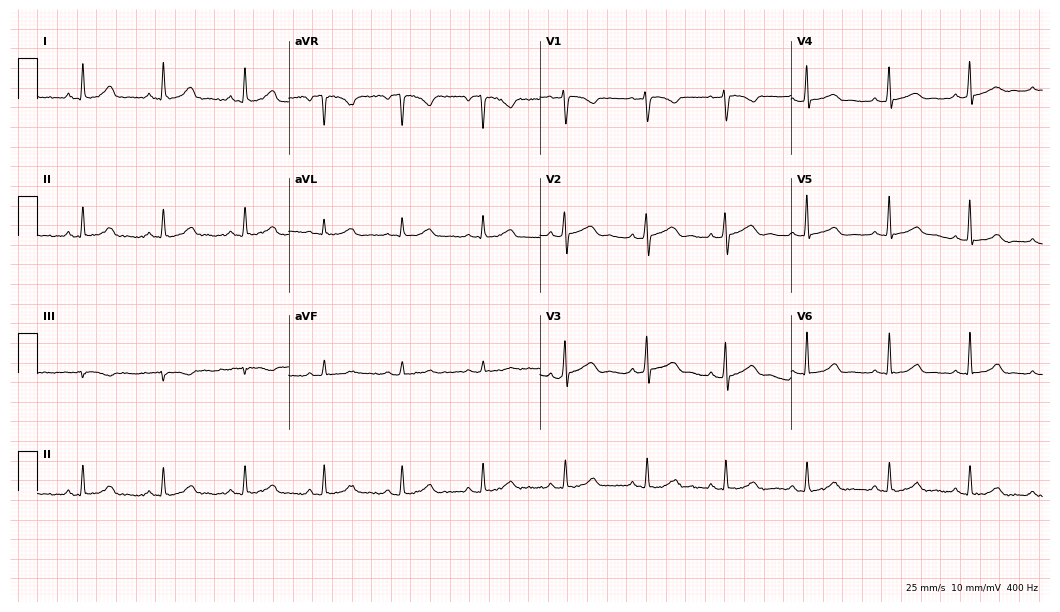
Resting 12-lead electrocardiogram. Patient: a woman, 37 years old. Read as a normal ECG.